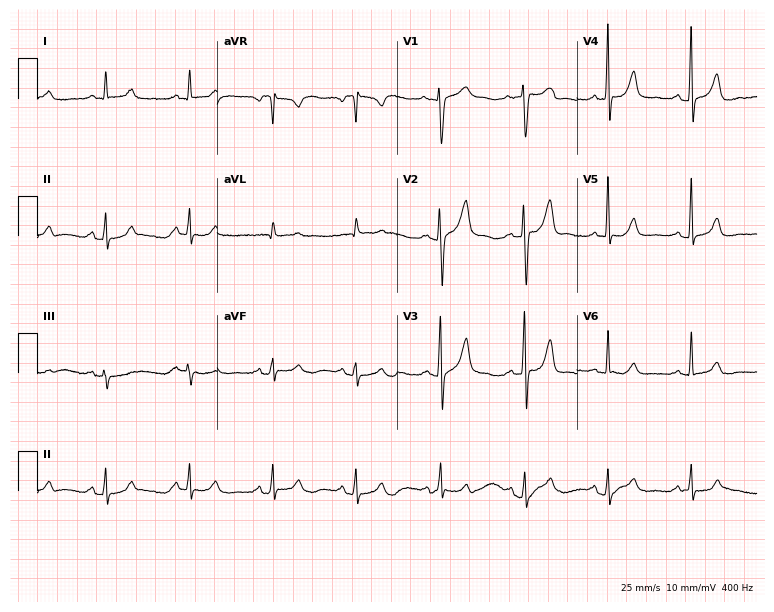
12-lead ECG from a 62-year-old male patient (7.3-second recording at 400 Hz). Recorded interpretation: within normal limits.